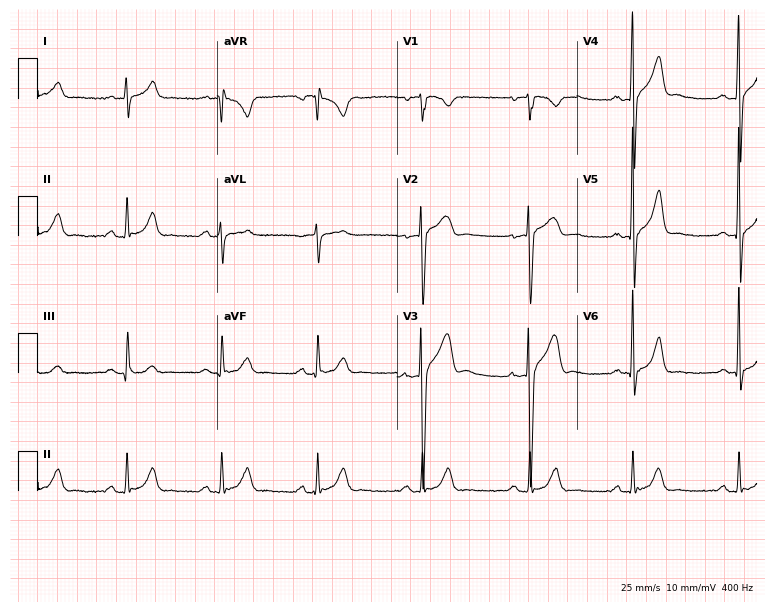
Resting 12-lead electrocardiogram (7.3-second recording at 400 Hz). Patient: a 30-year-old man. Read as a normal ECG.